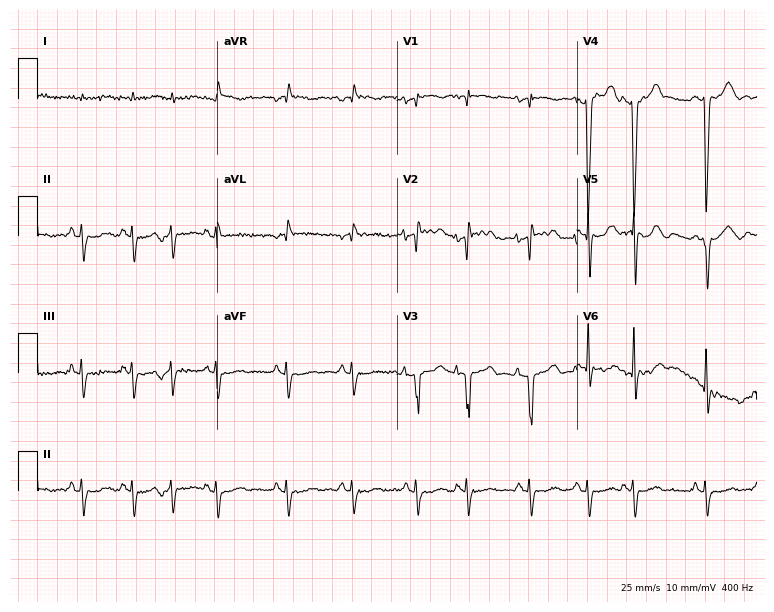
Standard 12-lead ECG recorded from a female patient, 79 years old. None of these six findings is recorded: first-degree AV block, right bundle branch block, left bundle branch block, sinus bradycardia, atrial fibrillation, sinus tachycardia. Findings outside these six are not listed.